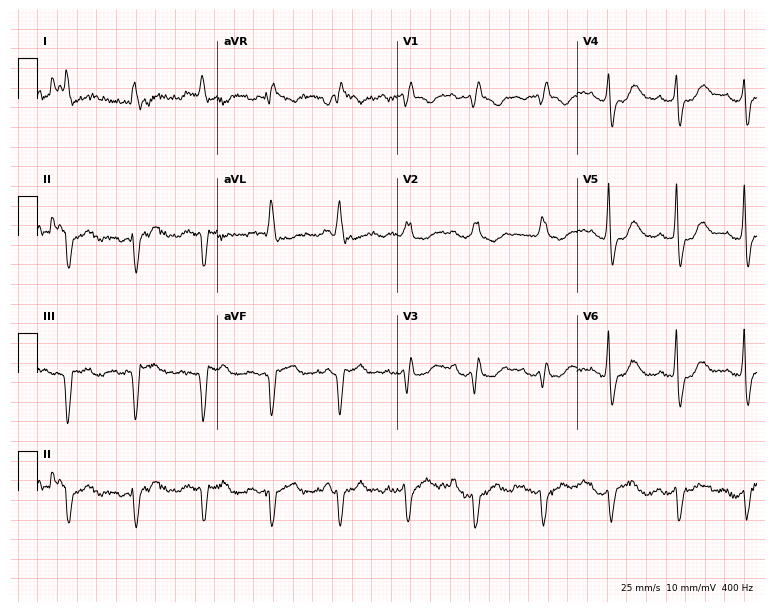
ECG — an 80-year-old male. Findings include right bundle branch block.